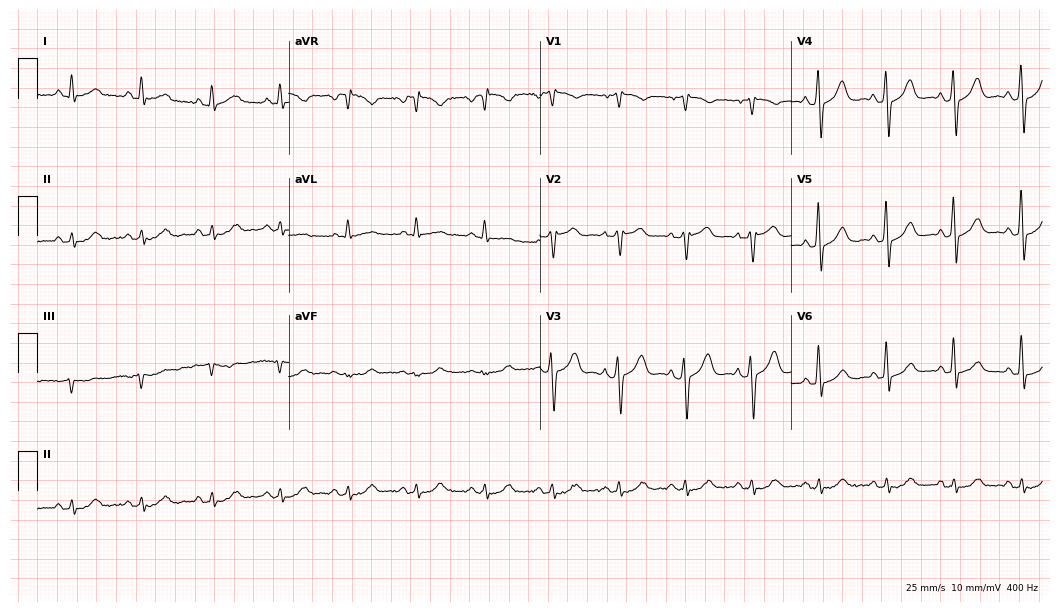
12-lead ECG from a 64-year-old male. No first-degree AV block, right bundle branch block, left bundle branch block, sinus bradycardia, atrial fibrillation or sinus tachycardia recorded for this tracing. Findings outside these six are not listed.